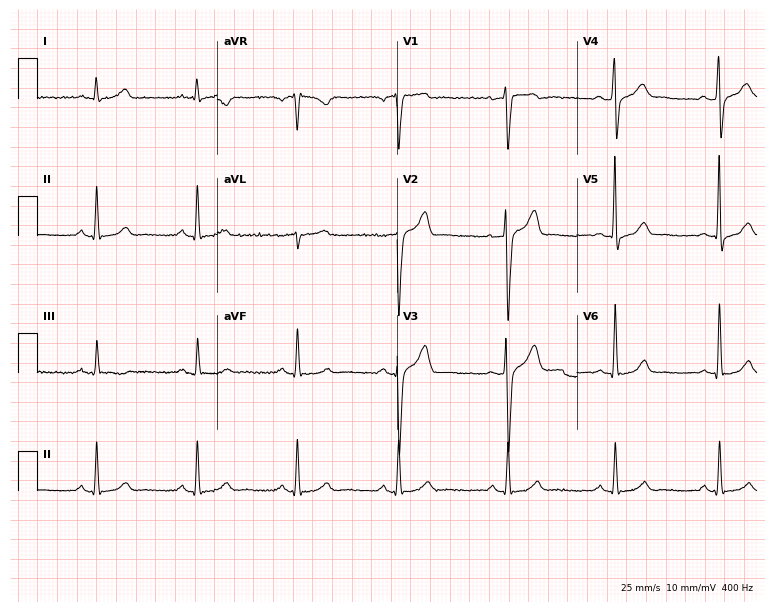
12-lead ECG from a 51-year-old man (7.3-second recording at 400 Hz). No first-degree AV block, right bundle branch block, left bundle branch block, sinus bradycardia, atrial fibrillation or sinus tachycardia recorded for this tracing. Findings outside these six are not listed.